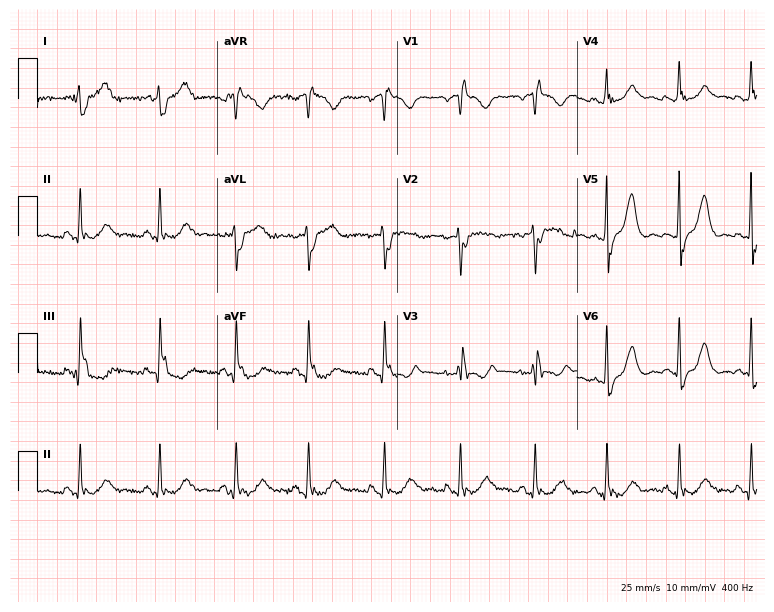
Standard 12-lead ECG recorded from a woman, 56 years old (7.3-second recording at 400 Hz). The tracing shows right bundle branch block (RBBB).